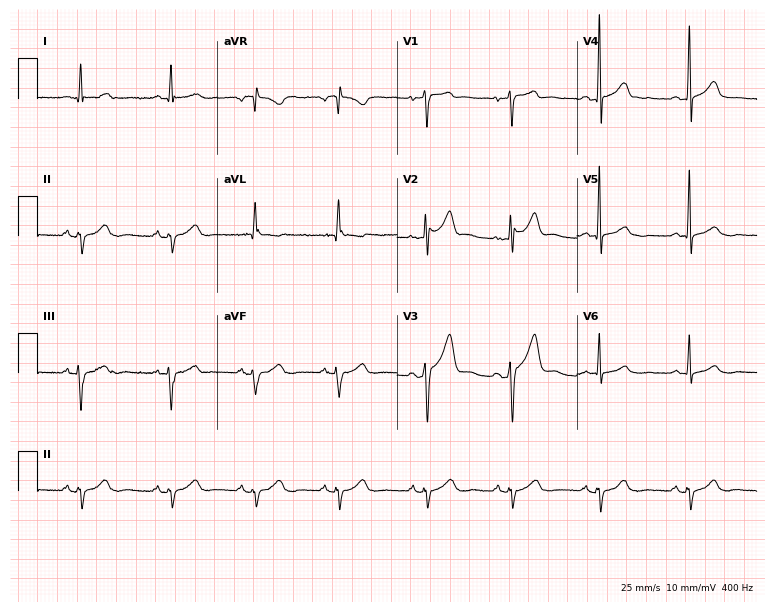
ECG — a male, 39 years old. Screened for six findings — first-degree AV block, right bundle branch block, left bundle branch block, sinus bradycardia, atrial fibrillation, sinus tachycardia — none is recorded. Other findings, if any, are not listed.